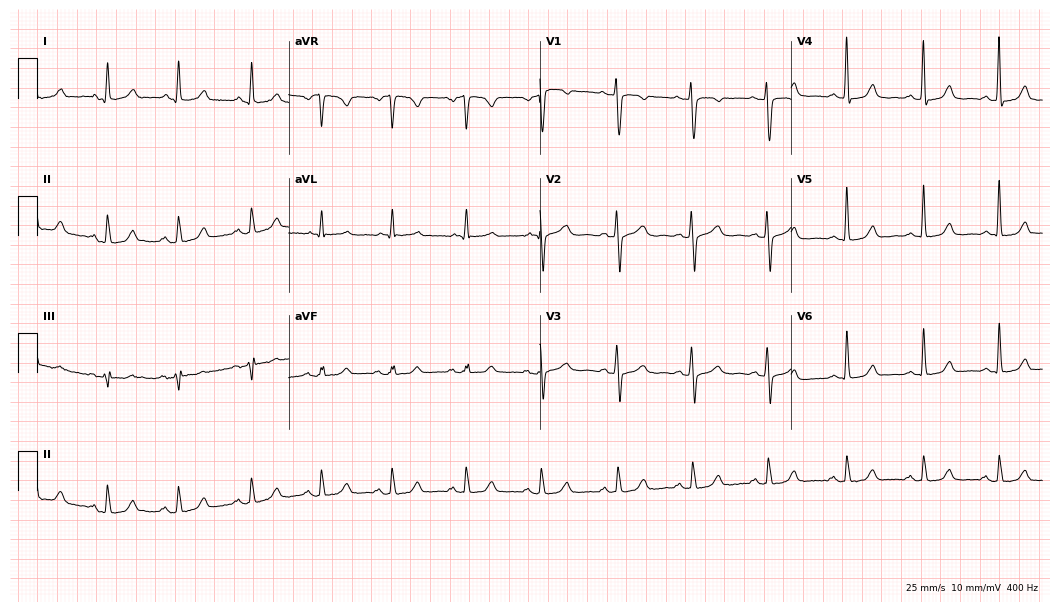
ECG — a female patient, 59 years old. Labelled as a normal ECG.